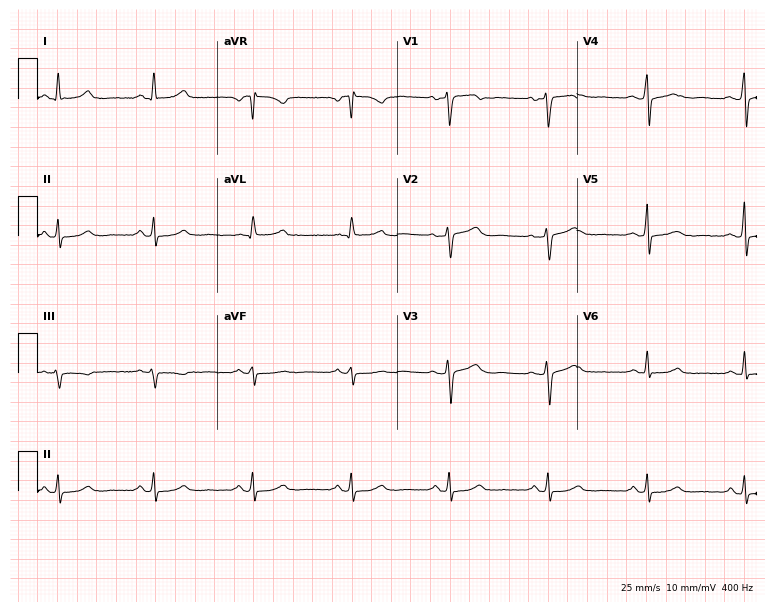
ECG (7.3-second recording at 400 Hz) — a female patient, 47 years old. Screened for six findings — first-degree AV block, right bundle branch block (RBBB), left bundle branch block (LBBB), sinus bradycardia, atrial fibrillation (AF), sinus tachycardia — none is recorded. Only these six findings were labelled.